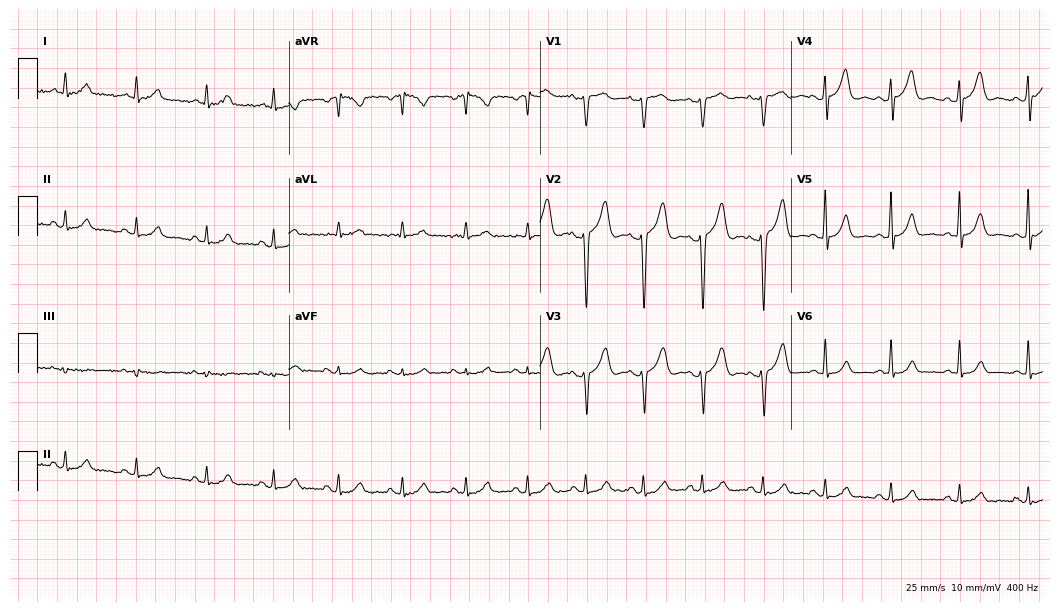
Standard 12-lead ECG recorded from a male patient, 53 years old (10.2-second recording at 400 Hz). None of these six findings is recorded: first-degree AV block, right bundle branch block, left bundle branch block, sinus bradycardia, atrial fibrillation, sinus tachycardia.